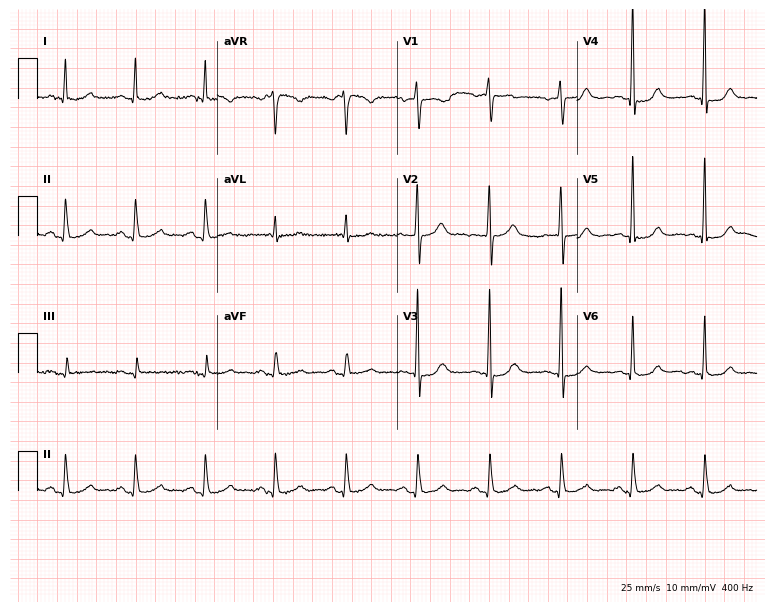
12-lead ECG from a female patient, 52 years old (7.3-second recording at 400 Hz). Recorded interpretation: within normal limits.